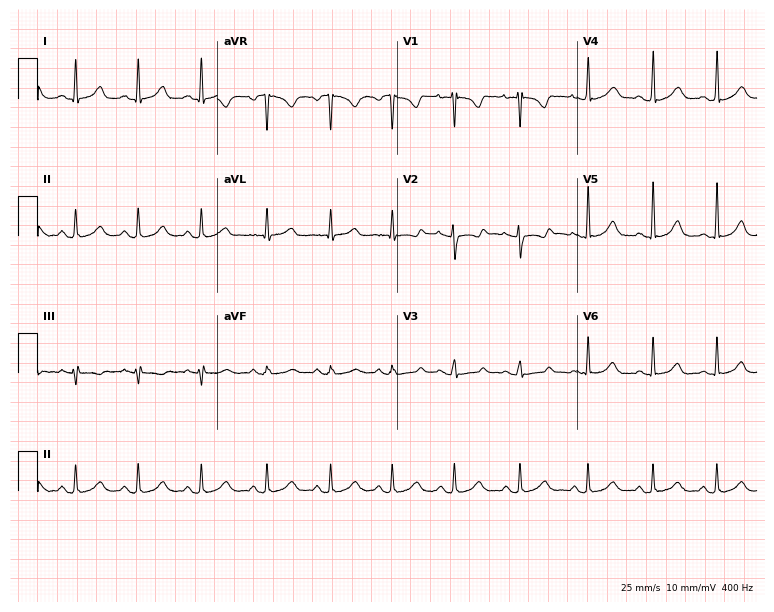
12-lead ECG from a 25-year-old female (7.3-second recording at 400 Hz). Recorded interpretation: within normal limits.